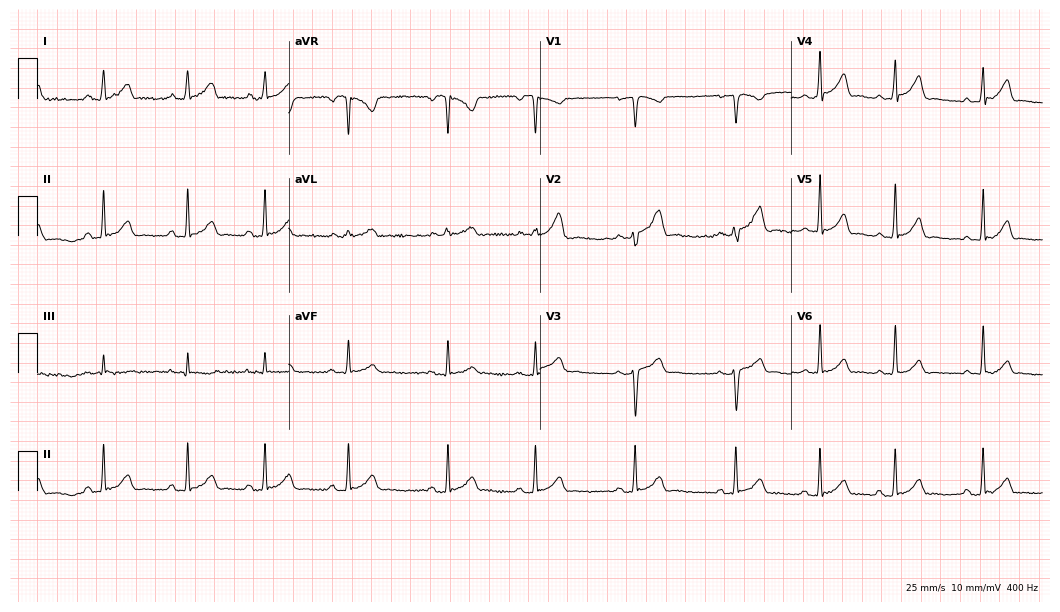
ECG (10.2-second recording at 400 Hz) — a 20-year-old female patient. Labelled as a normal ECG.